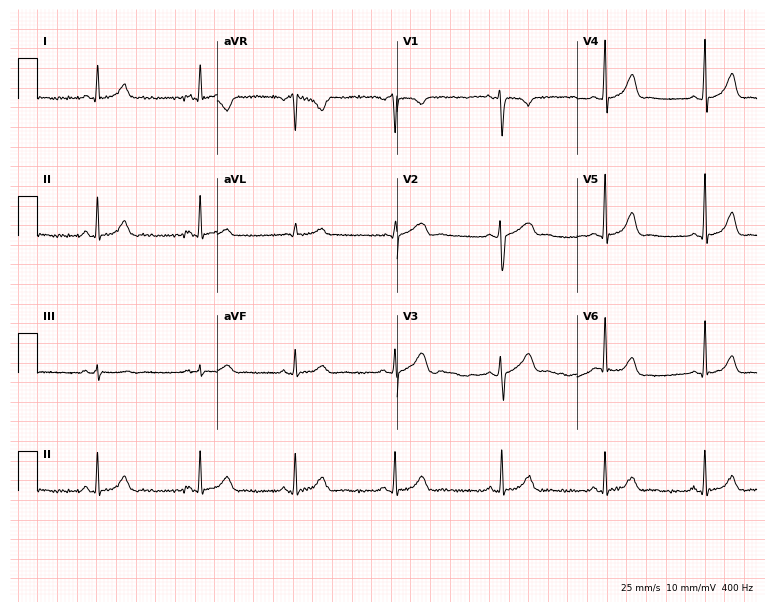
Electrocardiogram, a female, 25 years old. Overall reading on record: normal ECG.